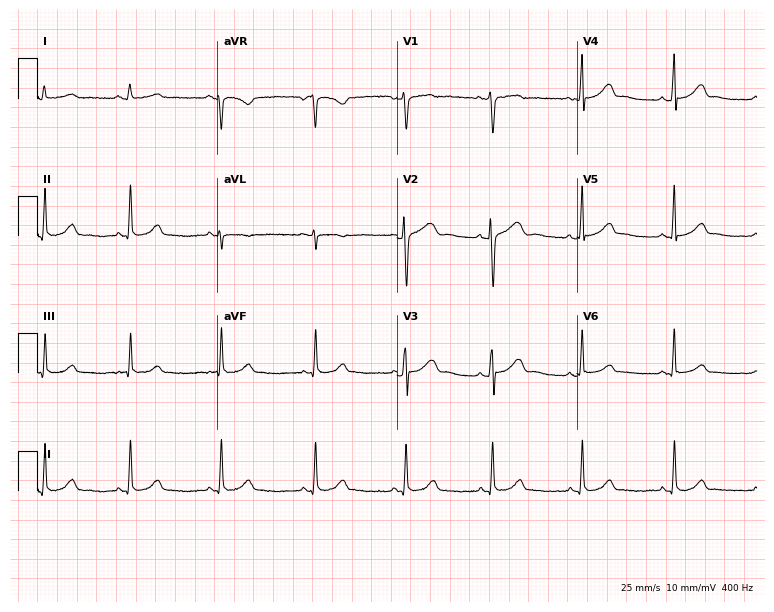
Standard 12-lead ECG recorded from a female, 26 years old (7.3-second recording at 400 Hz). None of these six findings is recorded: first-degree AV block, right bundle branch block, left bundle branch block, sinus bradycardia, atrial fibrillation, sinus tachycardia. Only these six findings were labelled.